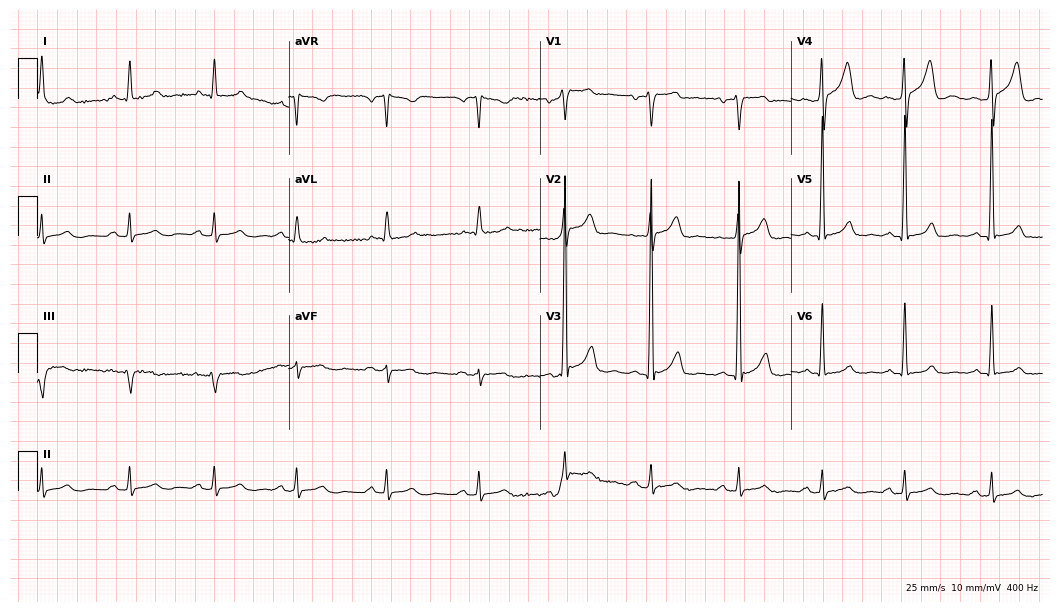
Electrocardiogram (10.2-second recording at 400 Hz), a 54-year-old man. Overall reading on record: normal ECG.